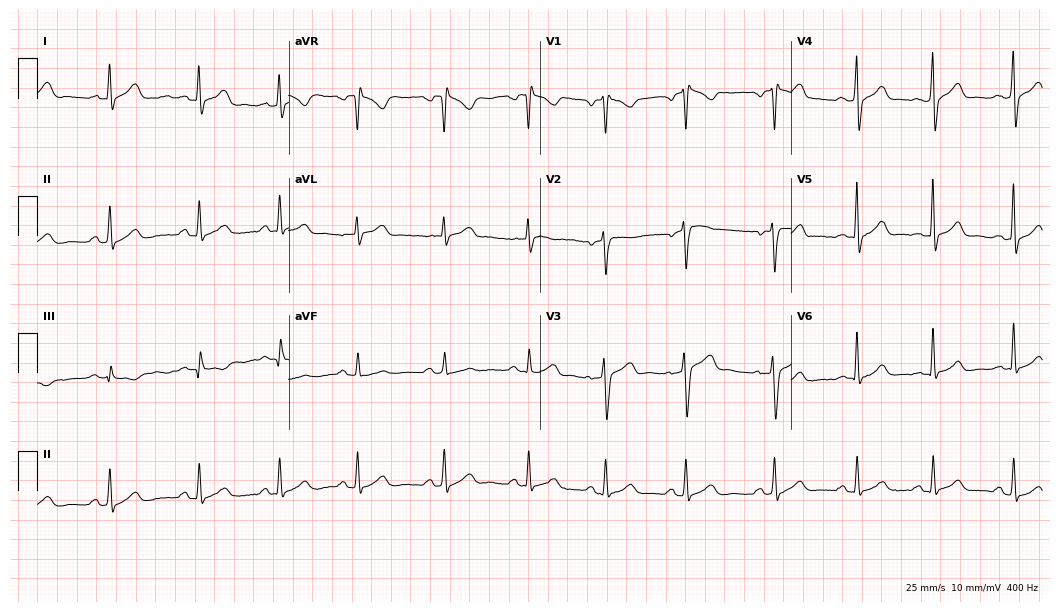
12-lead ECG from a male patient, 31 years old. Screened for six findings — first-degree AV block, right bundle branch block, left bundle branch block, sinus bradycardia, atrial fibrillation, sinus tachycardia — none is recorded. Only these six findings were labelled.